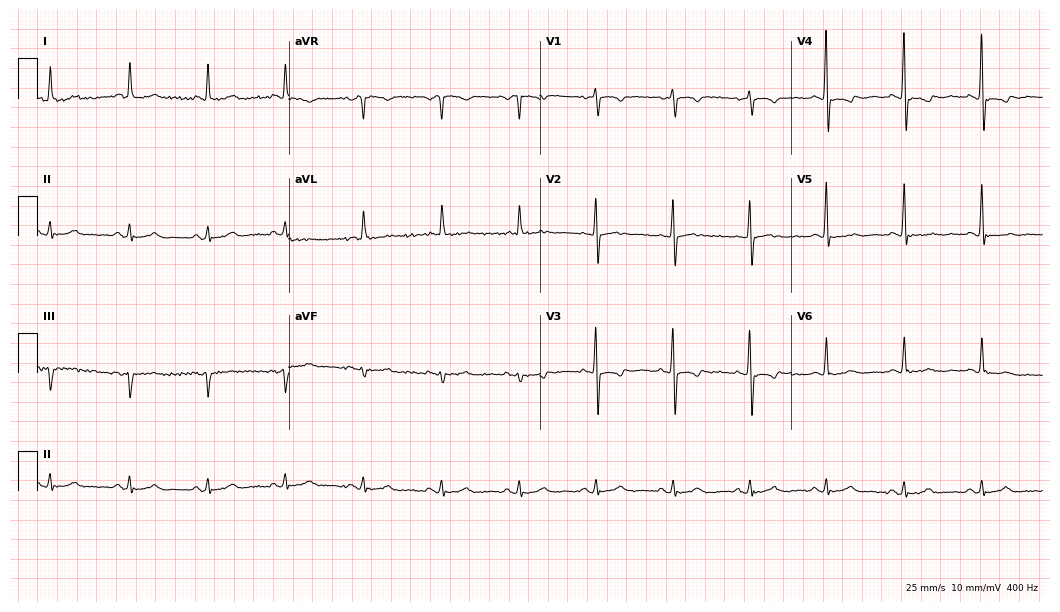
Electrocardiogram, a 73-year-old woman. Of the six screened findings (first-degree AV block, right bundle branch block (RBBB), left bundle branch block (LBBB), sinus bradycardia, atrial fibrillation (AF), sinus tachycardia), none is recorded.